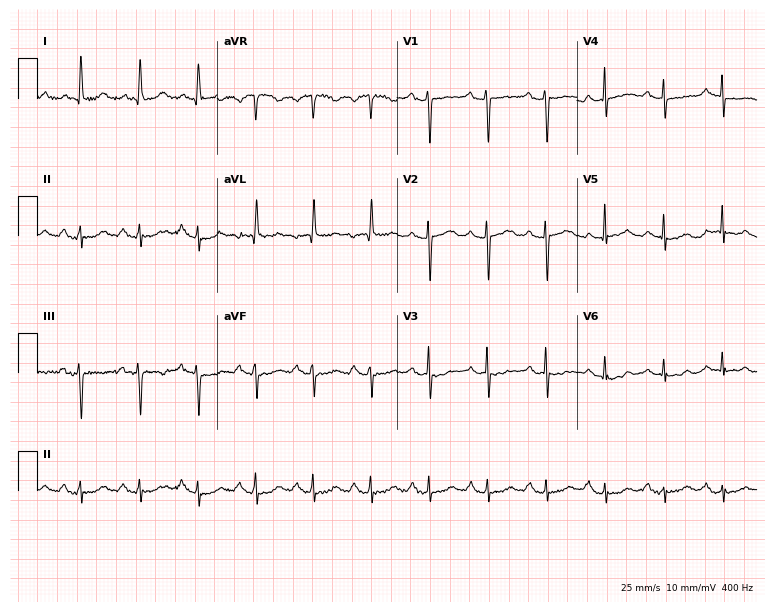
Standard 12-lead ECG recorded from an 83-year-old female patient (7.3-second recording at 400 Hz). The tracing shows sinus tachycardia (a sinus rate of 100 beats per minute or more).